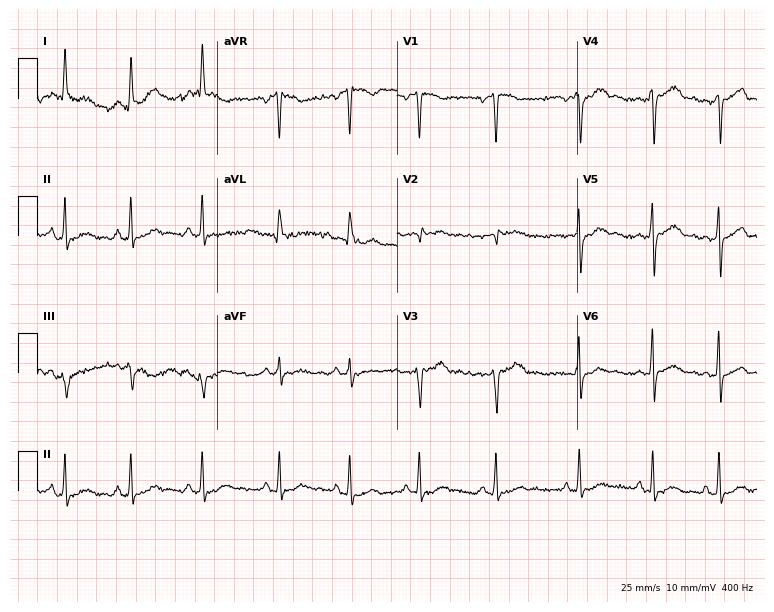
Resting 12-lead electrocardiogram (7.3-second recording at 400 Hz). Patient: a 33-year-old female. None of these six findings is recorded: first-degree AV block, right bundle branch block (RBBB), left bundle branch block (LBBB), sinus bradycardia, atrial fibrillation (AF), sinus tachycardia.